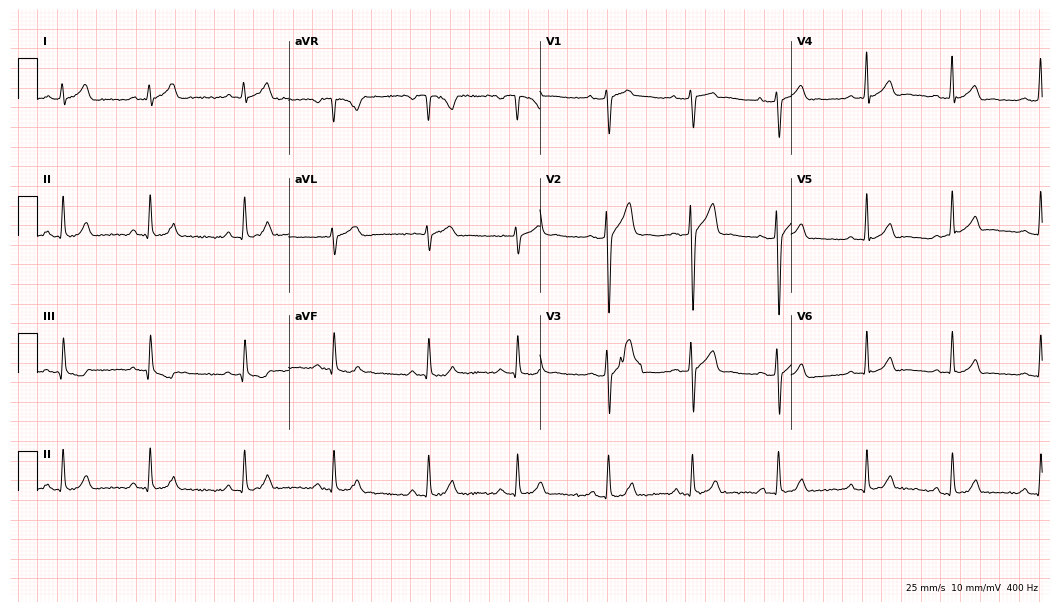
Standard 12-lead ECG recorded from a 21-year-old male patient. Read as a normal ECG.